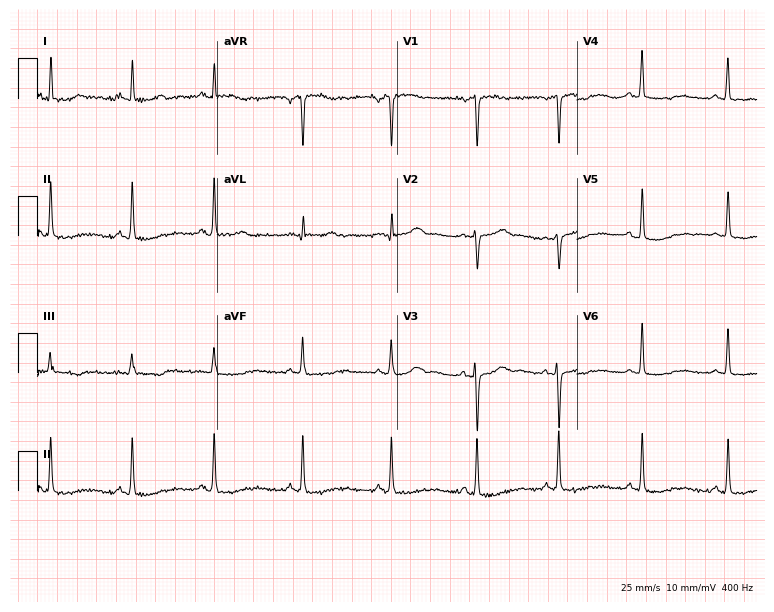
12-lead ECG from a female, 51 years old. Screened for six findings — first-degree AV block, right bundle branch block, left bundle branch block, sinus bradycardia, atrial fibrillation, sinus tachycardia — none is recorded. Only these six findings were labelled.